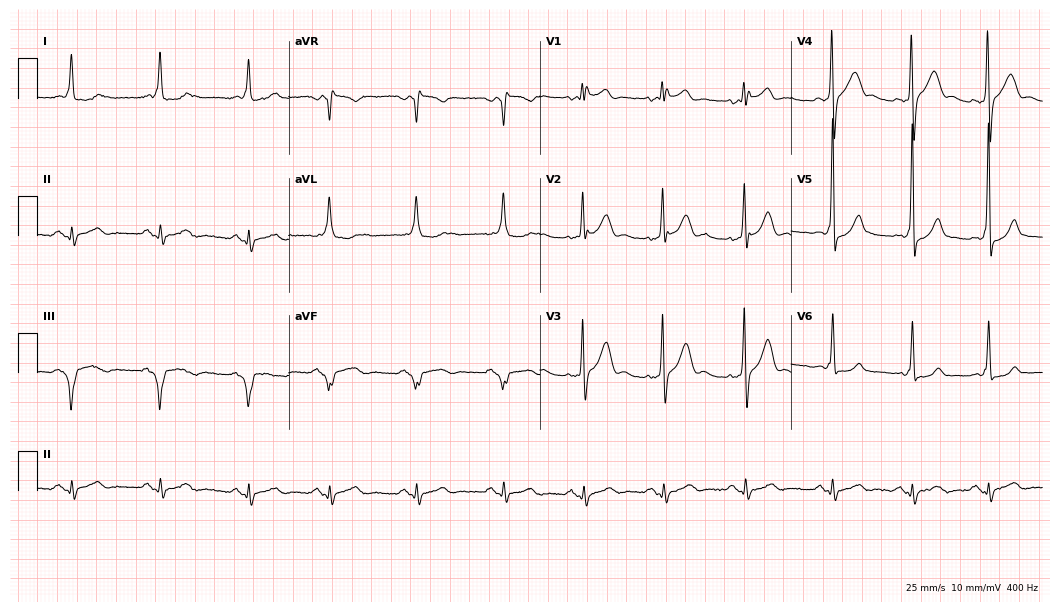
12-lead ECG from a 24-year-old male patient (10.2-second recording at 400 Hz). No first-degree AV block, right bundle branch block, left bundle branch block, sinus bradycardia, atrial fibrillation or sinus tachycardia recorded for this tracing. Other findings, if any, are not listed.